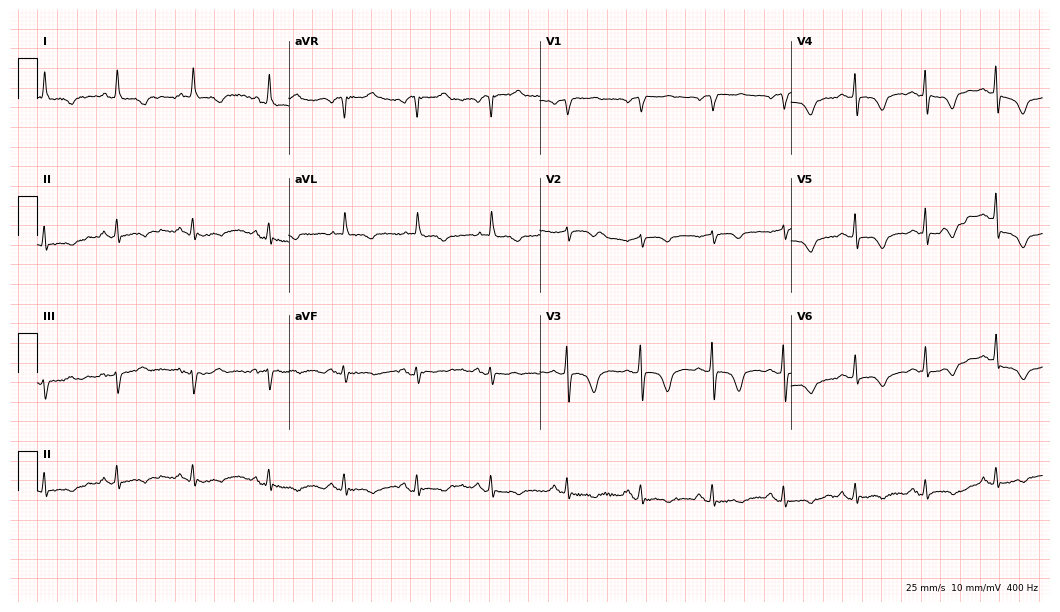
ECG (10.2-second recording at 400 Hz) — a woman, 77 years old. Labelled as a normal ECG.